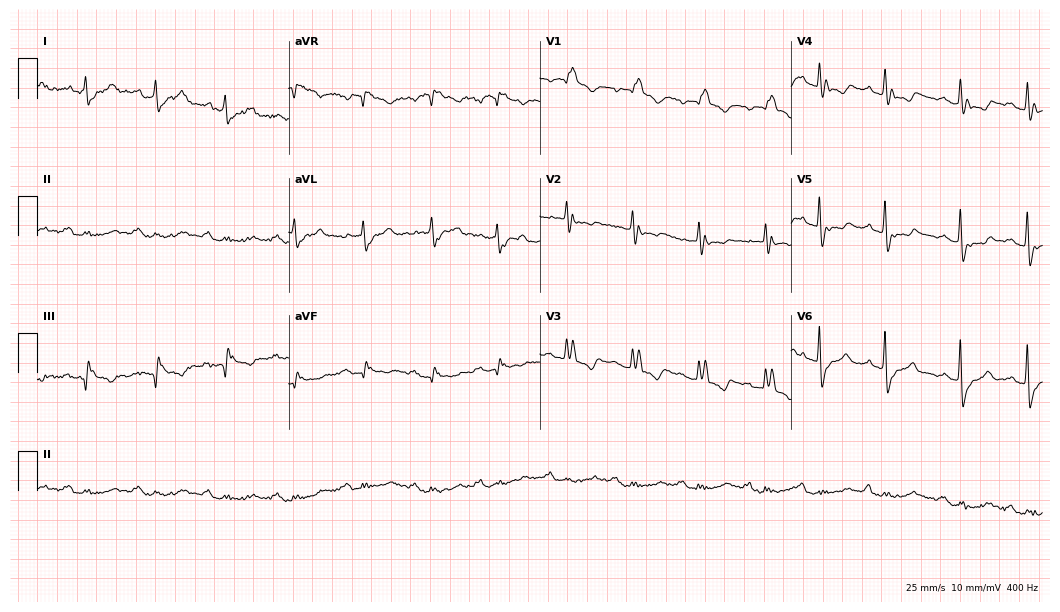
Electrocardiogram (10.2-second recording at 400 Hz), an 83-year-old man. Interpretation includes right bundle branch block (RBBB).